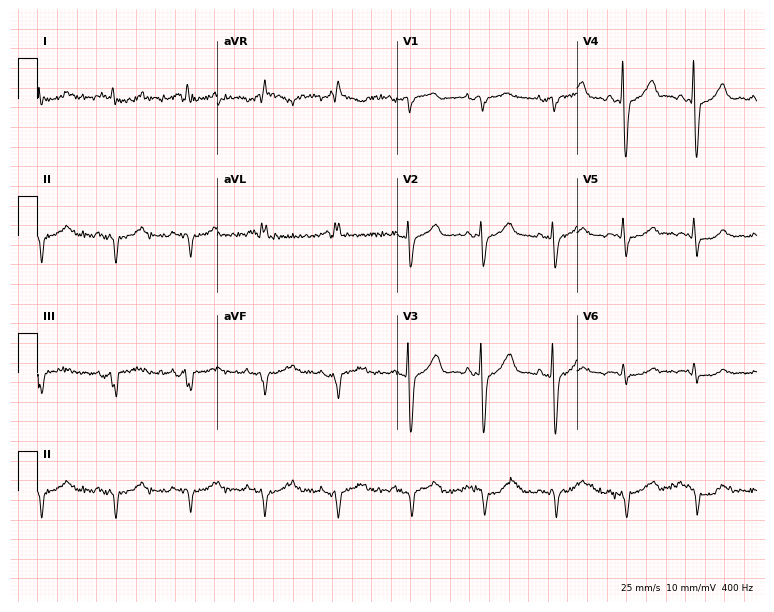
12-lead ECG from a woman, 72 years old. No first-degree AV block, right bundle branch block (RBBB), left bundle branch block (LBBB), sinus bradycardia, atrial fibrillation (AF) or sinus tachycardia recorded for this tracing.